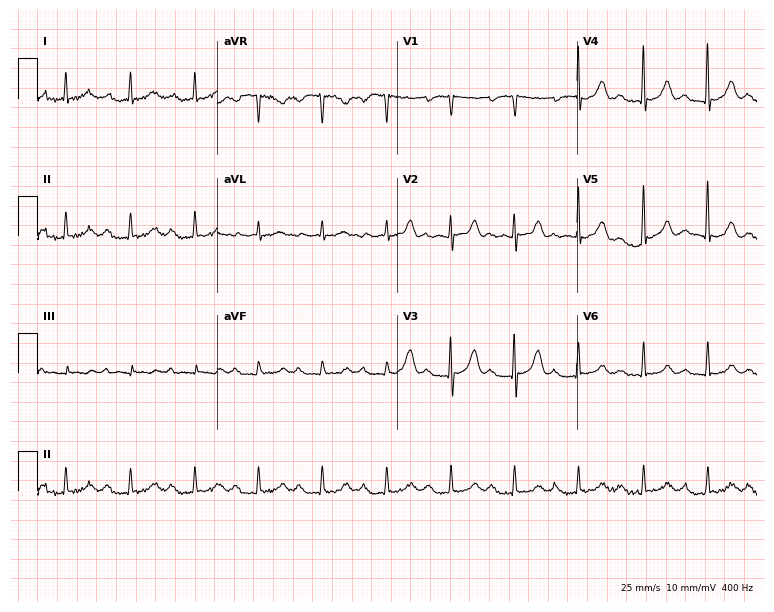
ECG — an 81-year-old woman. Screened for six findings — first-degree AV block, right bundle branch block (RBBB), left bundle branch block (LBBB), sinus bradycardia, atrial fibrillation (AF), sinus tachycardia — none is recorded. Only these six findings were labelled.